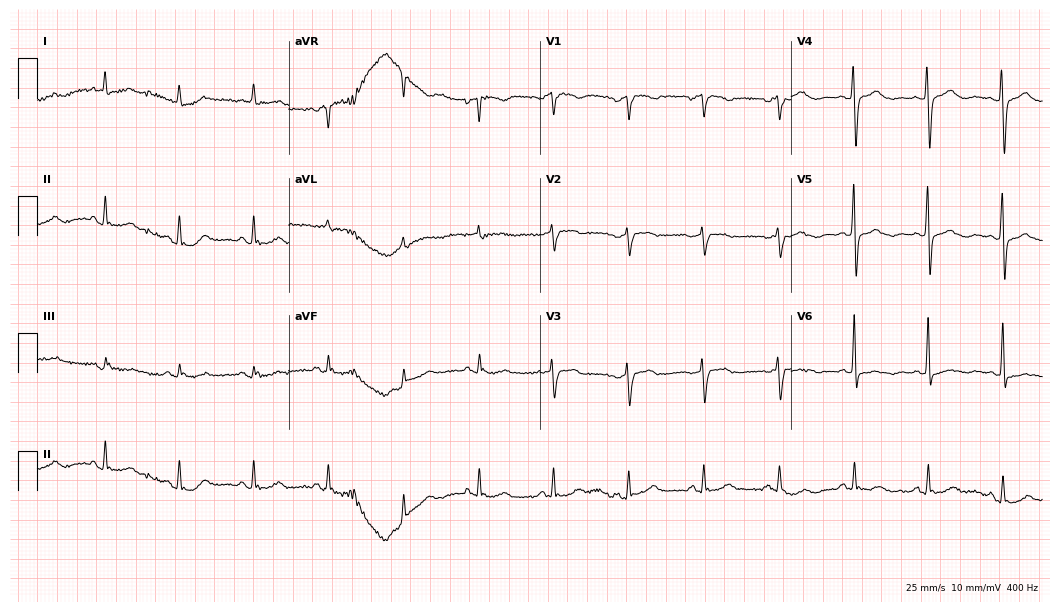
Resting 12-lead electrocardiogram. Patient: a woman, 83 years old. Read as a normal ECG.